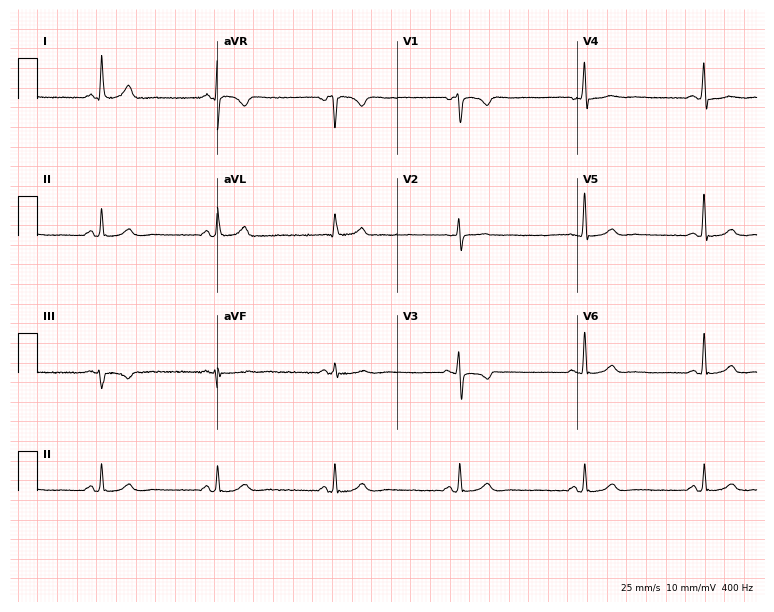
Resting 12-lead electrocardiogram (7.3-second recording at 400 Hz). Patient: a woman, 65 years old. None of these six findings is recorded: first-degree AV block, right bundle branch block (RBBB), left bundle branch block (LBBB), sinus bradycardia, atrial fibrillation (AF), sinus tachycardia.